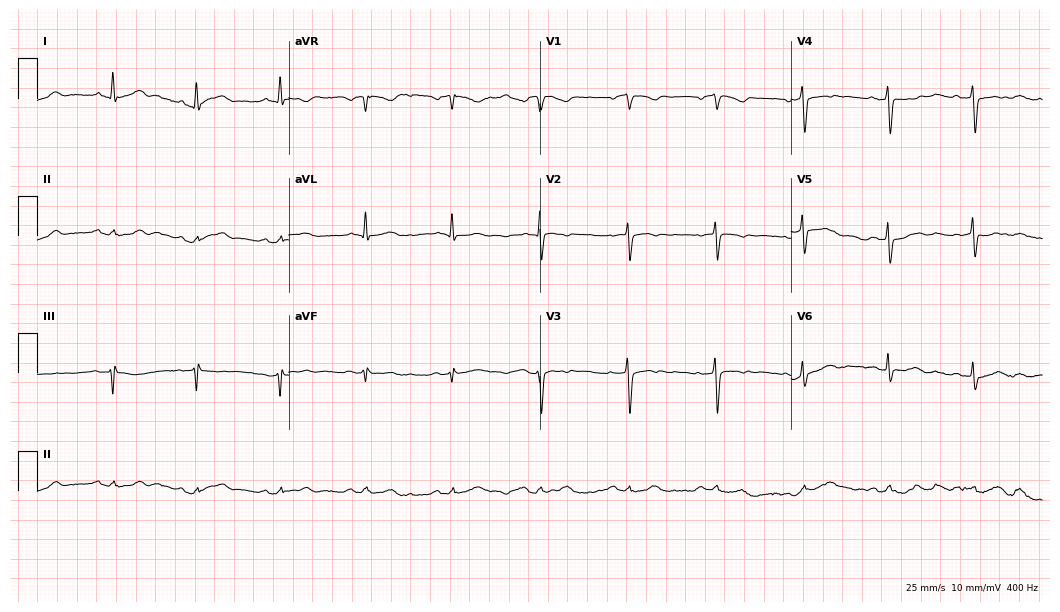
Standard 12-lead ECG recorded from a male patient, 68 years old. None of these six findings is recorded: first-degree AV block, right bundle branch block (RBBB), left bundle branch block (LBBB), sinus bradycardia, atrial fibrillation (AF), sinus tachycardia. Other findings, if any, are not listed.